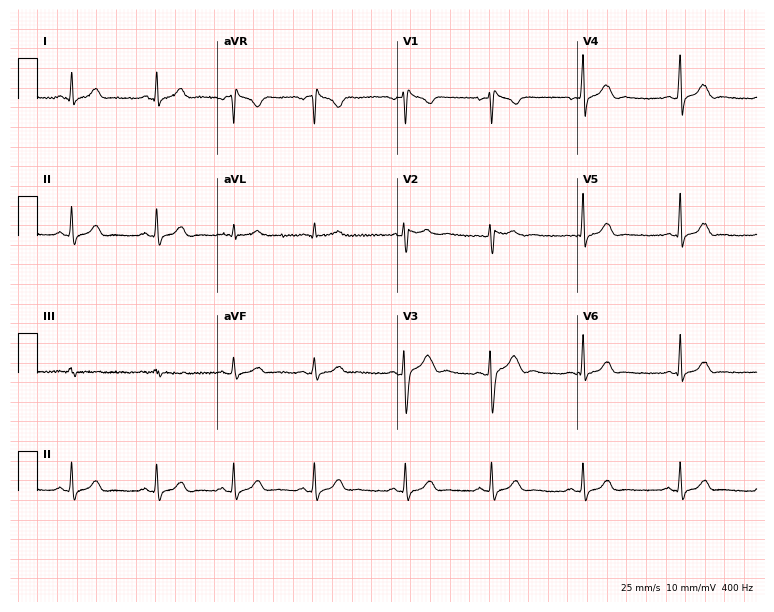
Resting 12-lead electrocardiogram (7.3-second recording at 400 Hz). Patient: a 30-year-old female. None of these six findings is recorded: first-degree AV block, right bundle branch block (RBBB), left bundle branch block (LBBB), sinus bradycardia, atrial fibrillation (AF), sinus tachycardia. Findings outside these six are not listed.